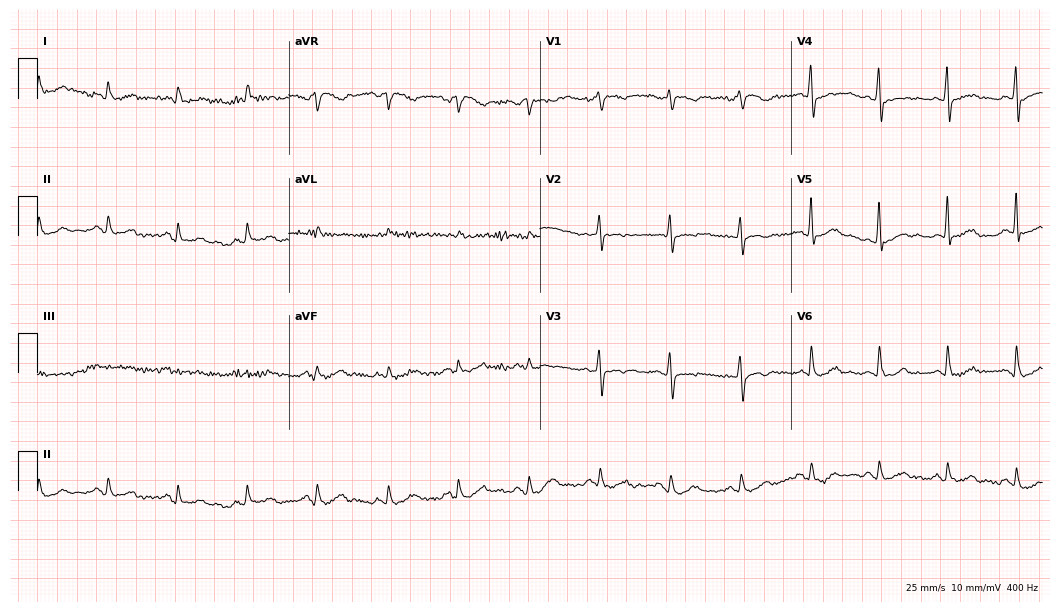
ECG (10.2-second recording at 400 Hz) — a 53-year-old male. Screened for six findings — first-degree AV block, right bundle branch block (RBBB), left bundle branch block (LBBB), sinus bradycardia, atrial fibrillation (AF), sinus tachycardia — none is recorded.